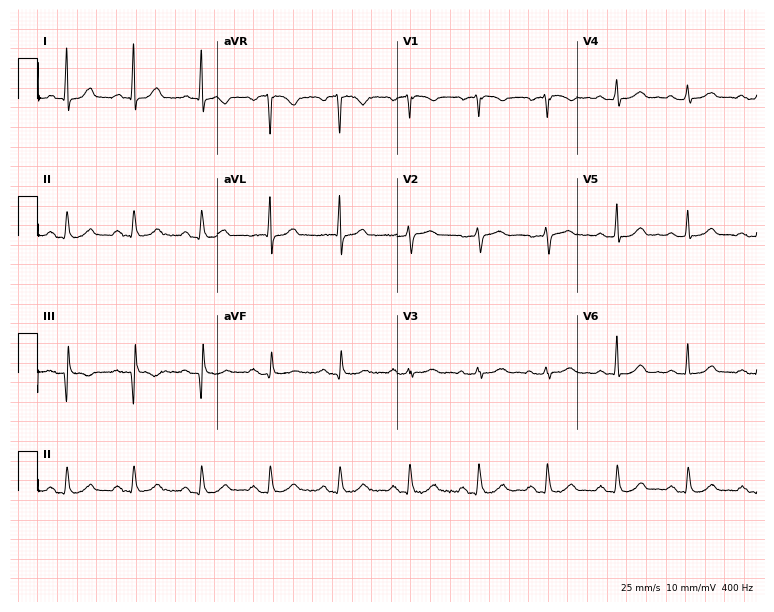
Resting 12-lead electrocardiogram. Patient: a female, 72 years old. Read as a normal ECG.